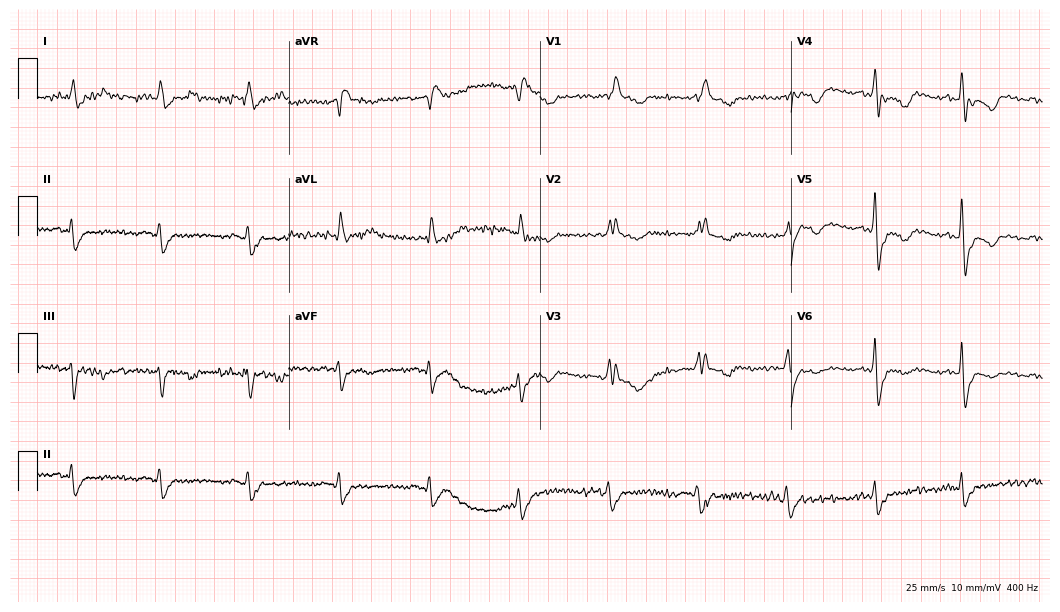
12-lead ECG (10.2-second recording at 400 Hz) from a man, 82 years old. Screened for six findings — first-degree AV block, right bundle branch block, left bundle branch block, sinus bradycardia, atrial fibrillation, sinus tachycardia — none is recorded. Other findings, if any, are not listed.